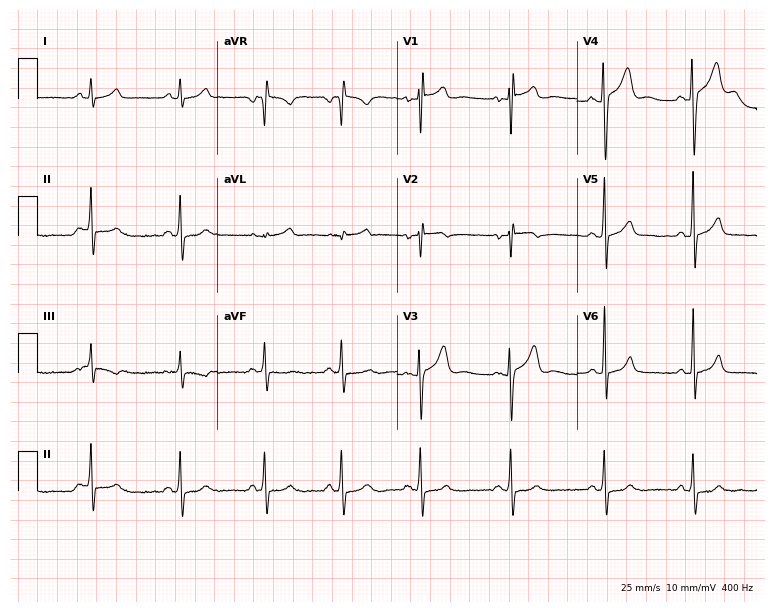
Standard 12-lead ECG recorded from a 21-year-old male. Read as a normal ECG.